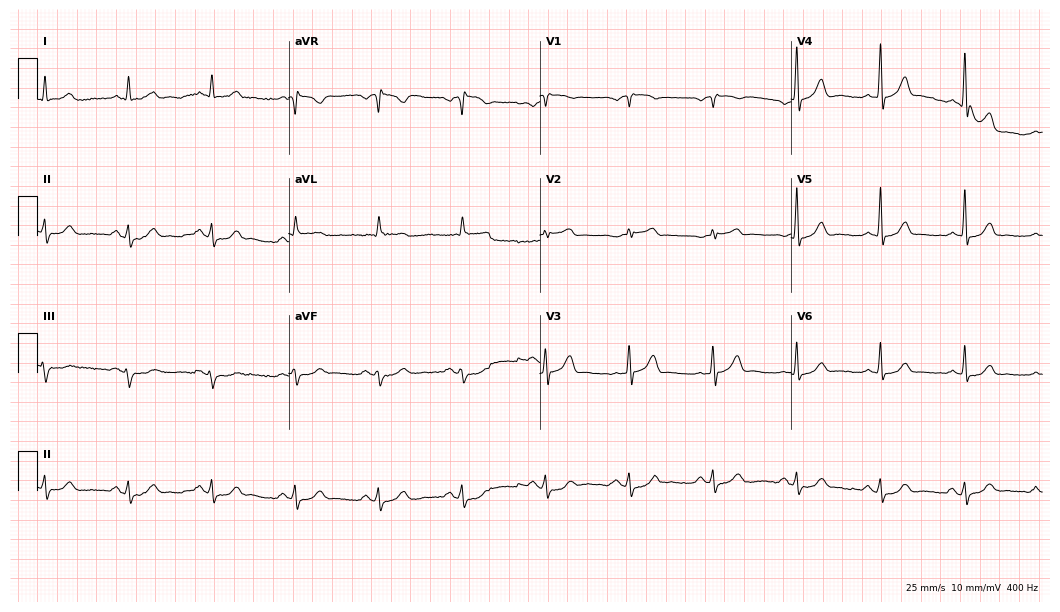
12-lead ECG from a 69-year-old male (10.2-second recording at 400 Hz). Recorded interpretation: within normal limits.